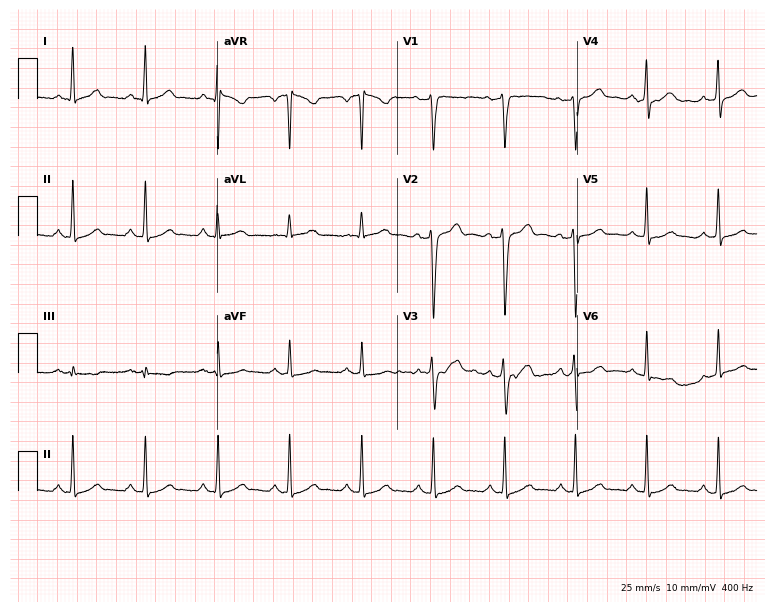
Electrocardiogram, a male, 35 years old. Of the six screened findings (first-degree AV block, right bundle branch block (RBBB), left bundle branch block (LBBB), sinus bradycardia, atrial fibrillation (AF), sinus tachycardia), none is recorded. Other findings, if any, are not listed.